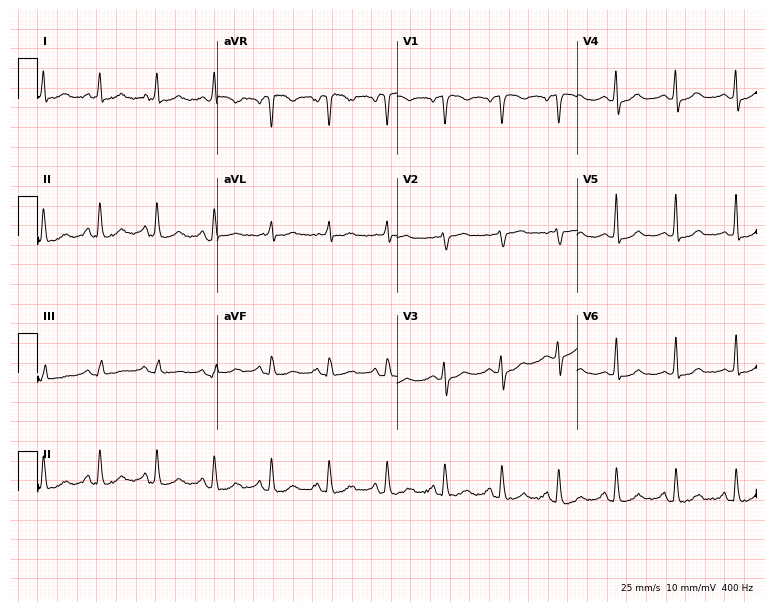
Standard 12-lead ECG recorded from a male, 58 years old. The tracing shows sinus tachycardia (a sinus rate of 100 beats per minute or more).